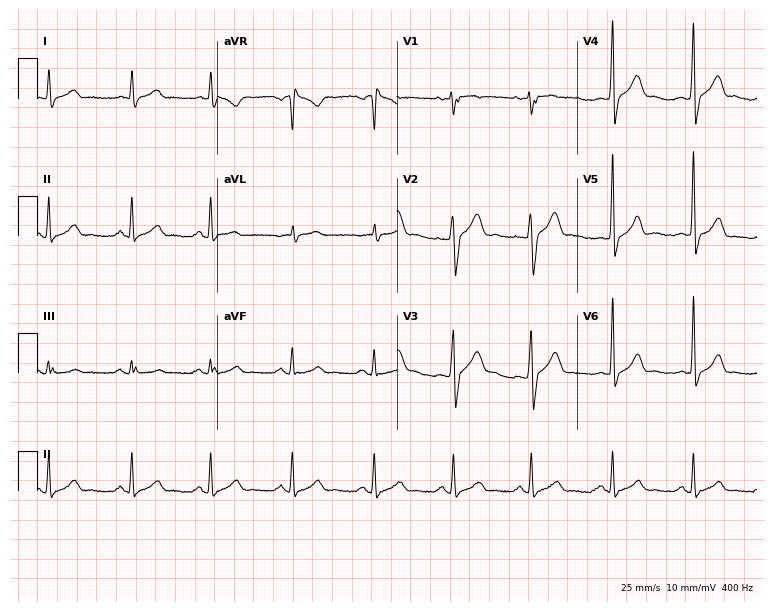
12-lead ECG from a 51-year-old male patient. Labelled as a normal ECG.